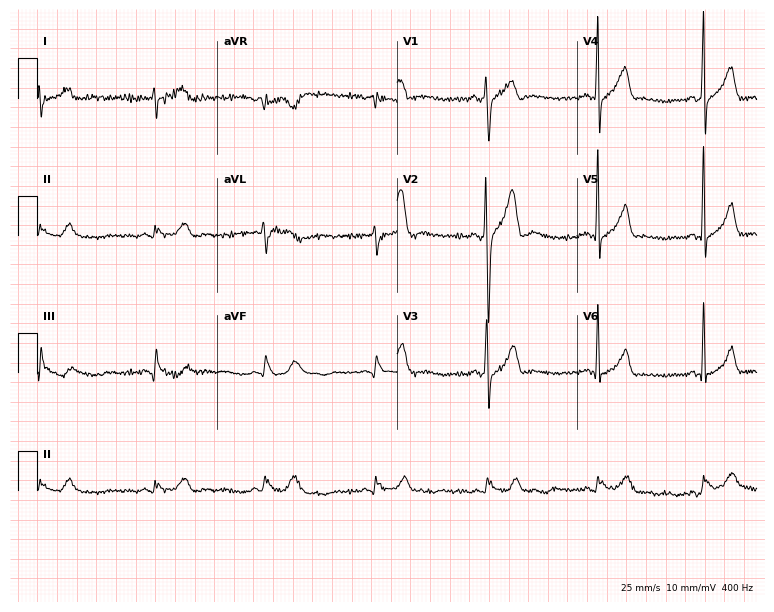
Resting 12-lead electrocardiogram. Patient: a 32-year-old male. None of these six findings is recorded: first-degree AV block, right bundle branch block, left bundle branch block, sinus bradycardia, atrial fibrillation, sinus tachycardia.